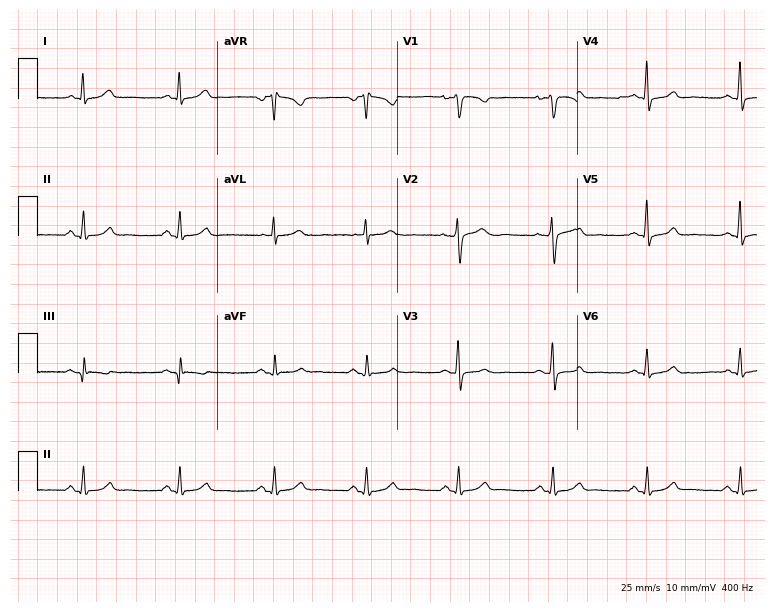
Electrocardiogram, a 45-year-old woman. Overall reading on record: normal ECG.